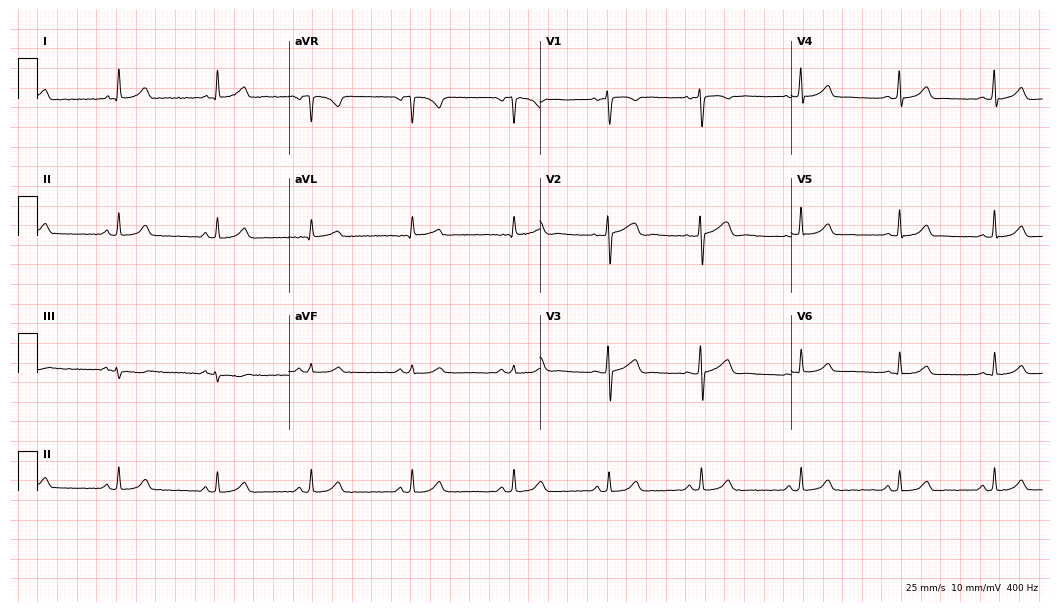
12-lead ECG from a 39-year-old female patient. Recorded interpretation: within normal limits.